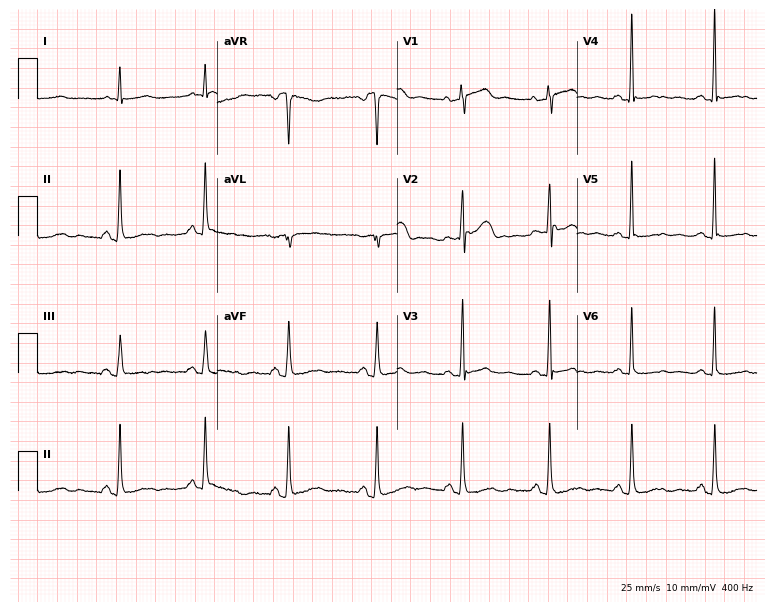
12-lead ECG (7.3-second recording at 400 Hz) from a female, 65 years old. Screened for six findings — first-degree AV block, right bundle branch block, left bundle branch block, sinus bradycardia, atrial fibrillation, sinus tachycardia — none is recorded.